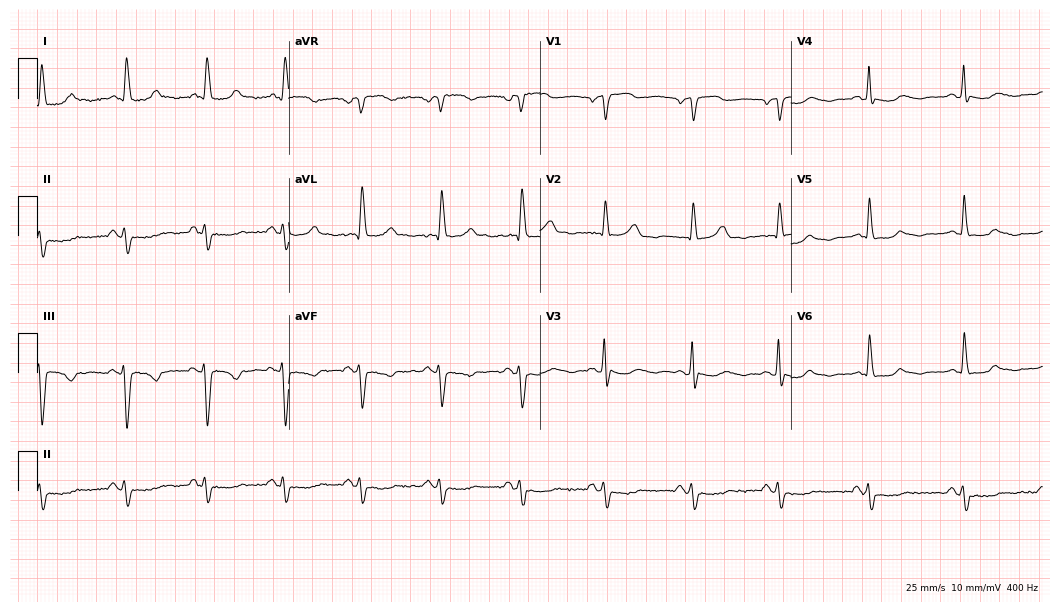
ECG (10.2-second recording at 400 Hz) — a woman, 68 years old. Screened for six findings — first-degree AV block, right bundle branch block (RBBB), left bundle branch block (LBBB), sinus bradycardia, atrial fibrillation (AF), sinus tachycardia — none is recorded. Only these six findings were labelled.